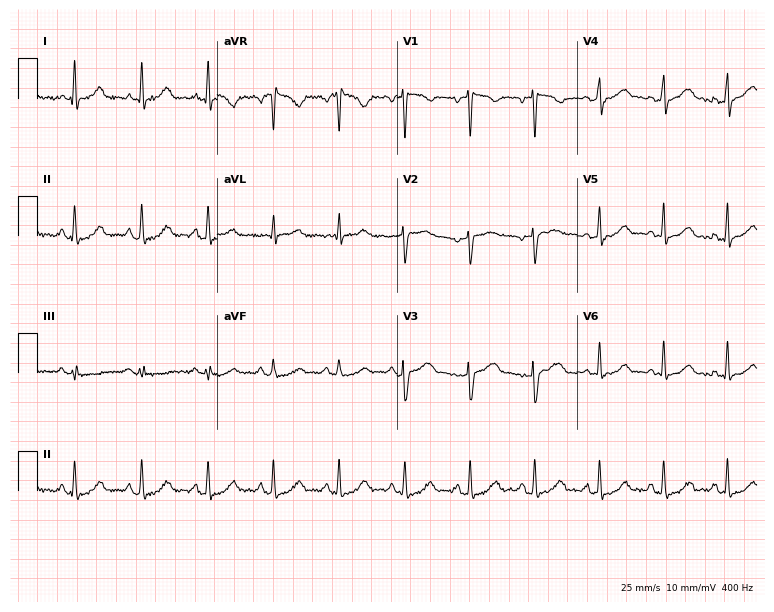
Electrocardiogram (7.3-second recording at 400 Hz), a 30-year-old female. Overall reading on record: normal ECG.